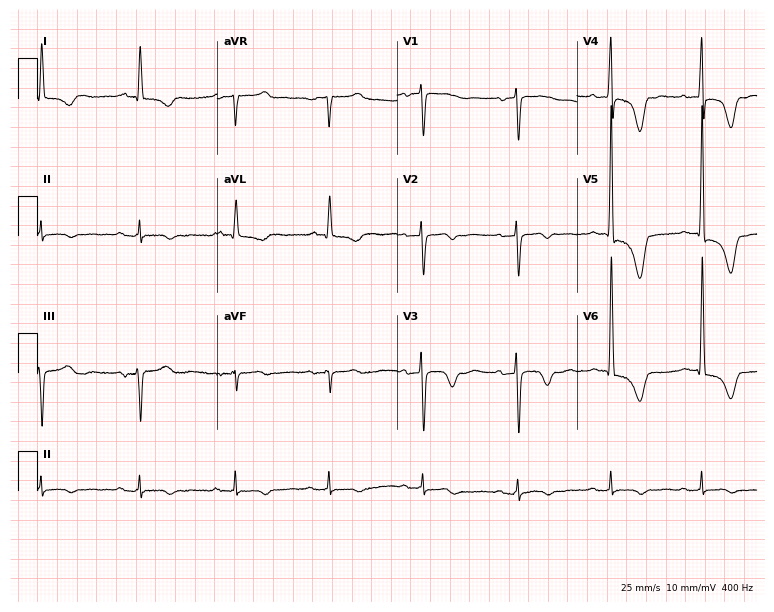
ECG (7.3-second recording at 400 Hz) — an 81-year-old female. Screened for six findings — first-degree AV block, right bundle branch block, left bundle branch block, sinus bradycardia, atrial fibrillation, sinus tachycardia — none is recorded.